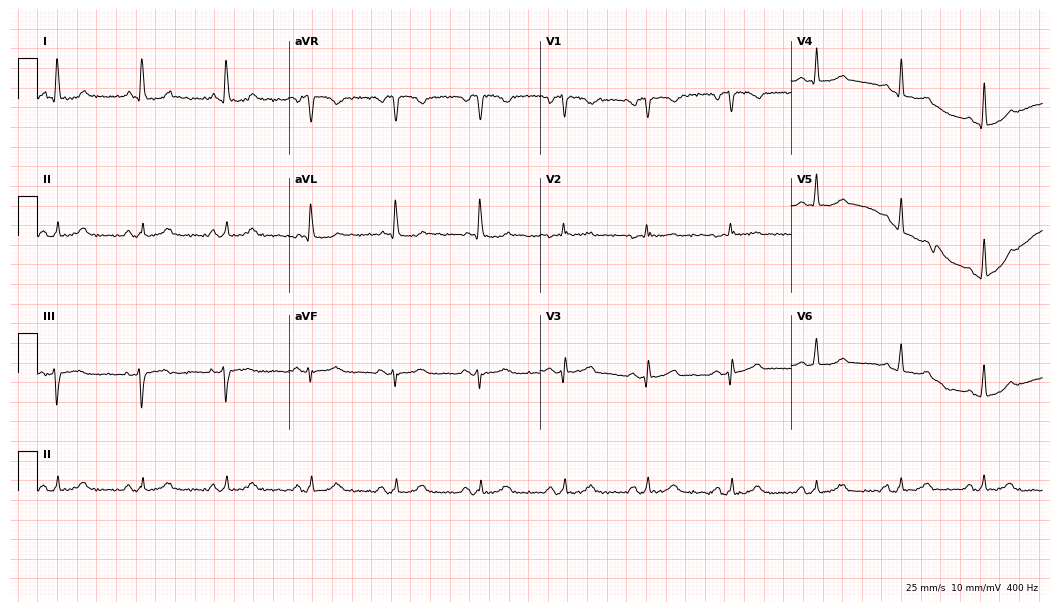
Resting 12-lead electrocardiogram (10.2-second recording at 400 Hz). Patient: a female, 82 years old. None of these six findings is recorded: first-degree AV block, right bundle branch block (RBBB), left bundle branch block (LBBB), sinus bradycardia, atrial fibrillation (AF), sinus tachycardia. Only these six findings were labelled.